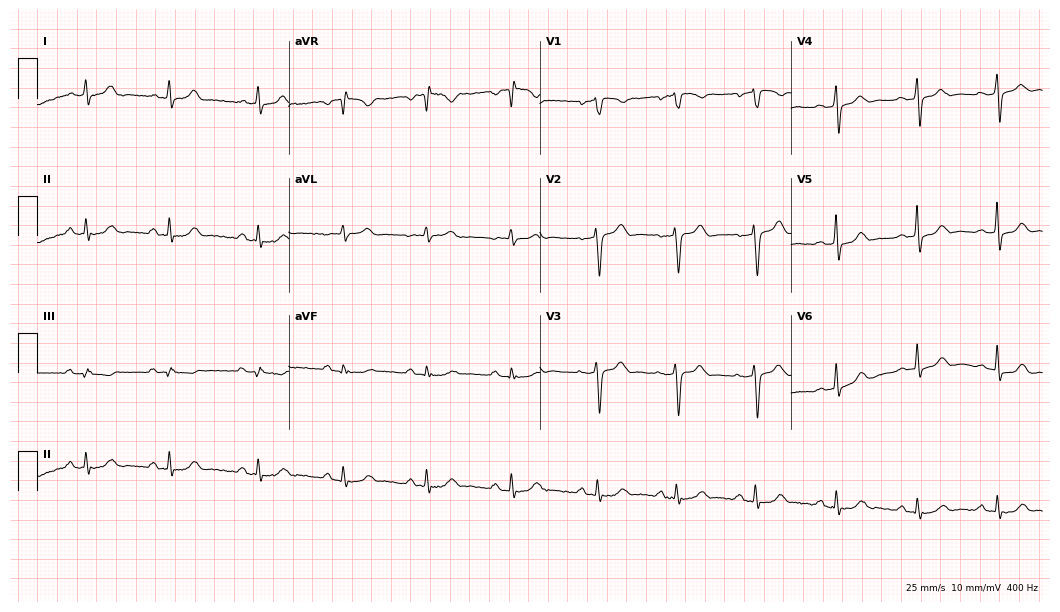
12-lead ECG from a 50-year-old woman. Screened for six findings — first-degree AV block, right bundle branch block (RBBB), left bundle branch block (LBBB), sinus bradycardia, atrial fibrillation (AF), sinus tachycardia — none is recorded. Other findings, if any, are not listed.